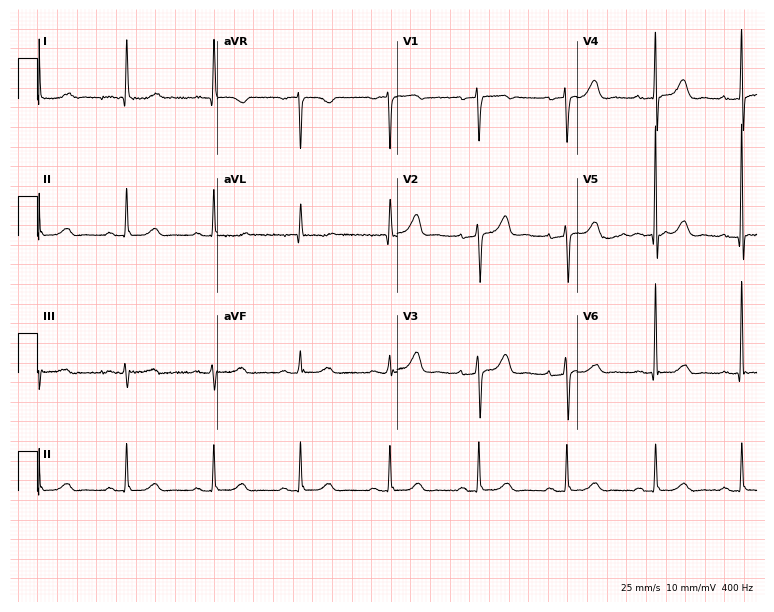
12-lead ECG from an 85-year-old female patient. Screened for six findings — first-degree AV block, right bundle branch block (RBBB), left bundle branch block (LBBB), sinus bradycardia, atrial fibrillation (AF), sinus tachycardia — none is recorded. Only these six findings were labelled.